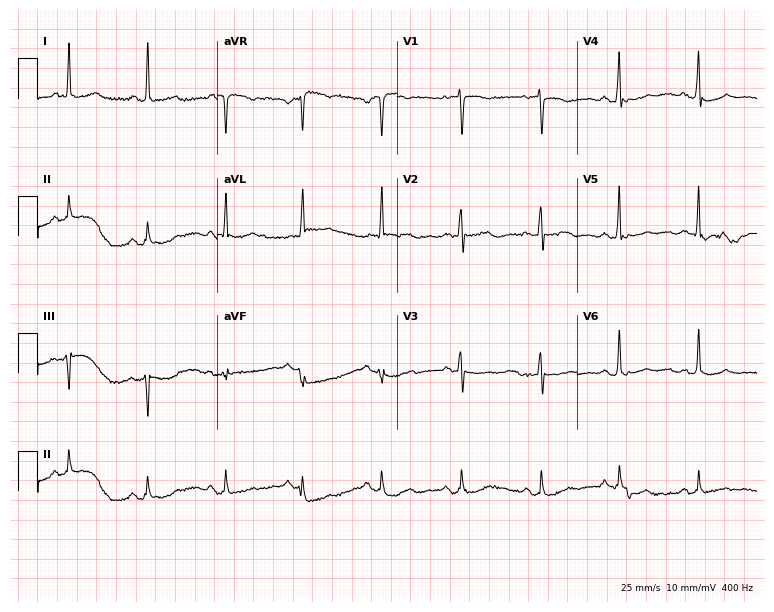
ECG — a 65-year-old woman. Screened for six findings — first-degree AV block, right bundle branch block (RBBB), left bundle branch block (LBBB), sinus bradycardia, atrial fibrillation (AF), sinus tachycardia — none is recorded. Only these six findings were labelled.